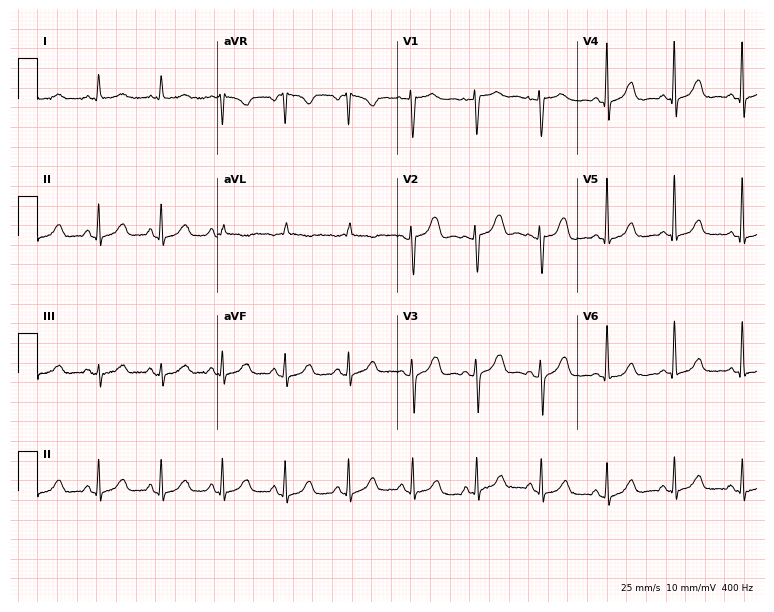
ECG — a female patient, 66 years old. Screened for six findings — first-degree AV block, right bundle branch block, left bundle branch block, sinus bradycardia, atrial fibrillation, sinus tachycardia — none is recorded. Other findings, if any, are not listed.